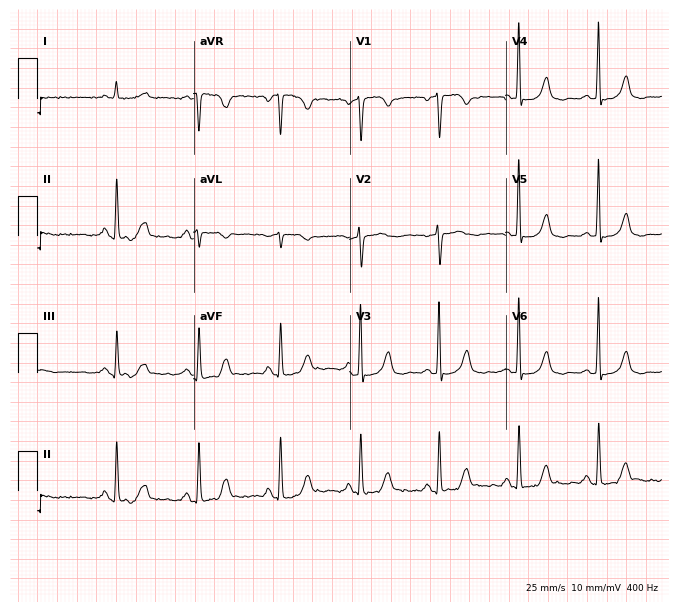
Electrocardiogram, a woman, 78 years old. Of the six screened findings (first-degree AV block, right bundle branch block, left bundle branch block, sinus bradycardia, atrial fibrillation, sinus tachycardia), none is recorded. Findings outside these six are not listed.